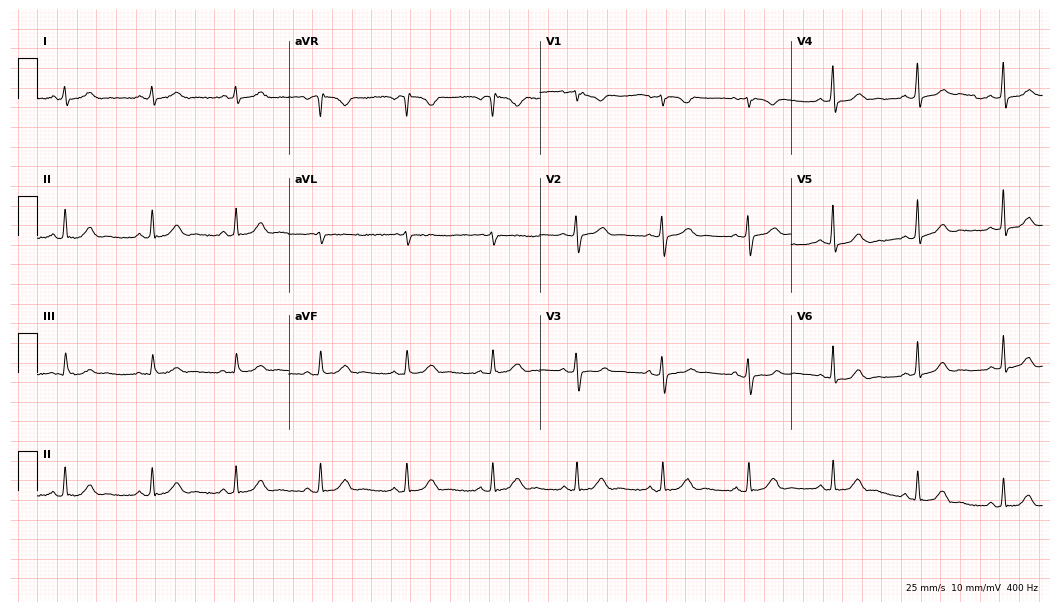
12-lead ECG from a 38-year-old female patient. Recorded interpretation: within normal limits.